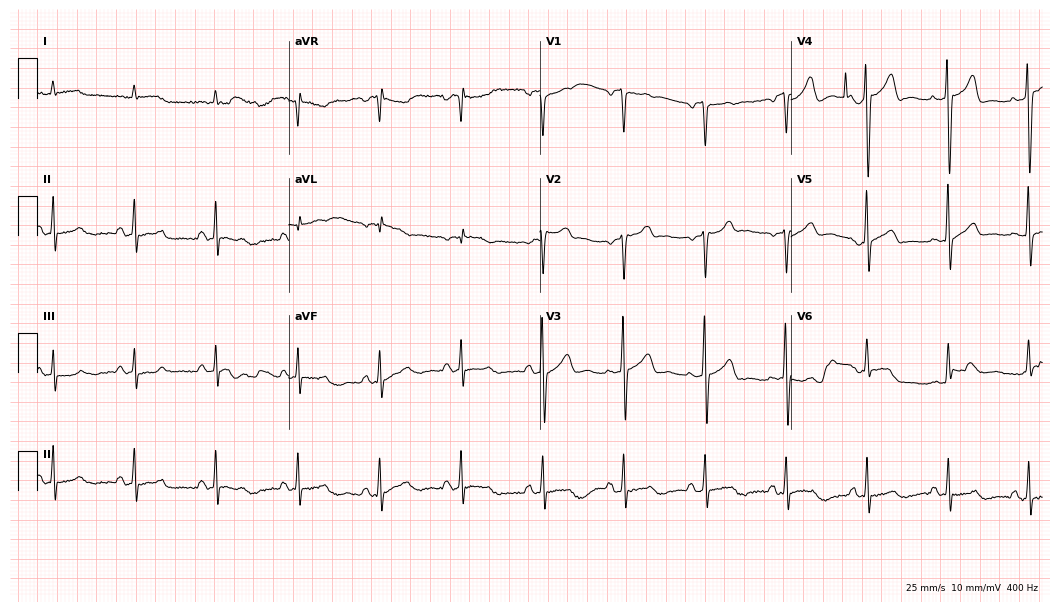
Resting 12-lead electrocardiogram (10.2-second recording at 400 Hz). Patient: a 73-year-old man. Read as a normal ECG.